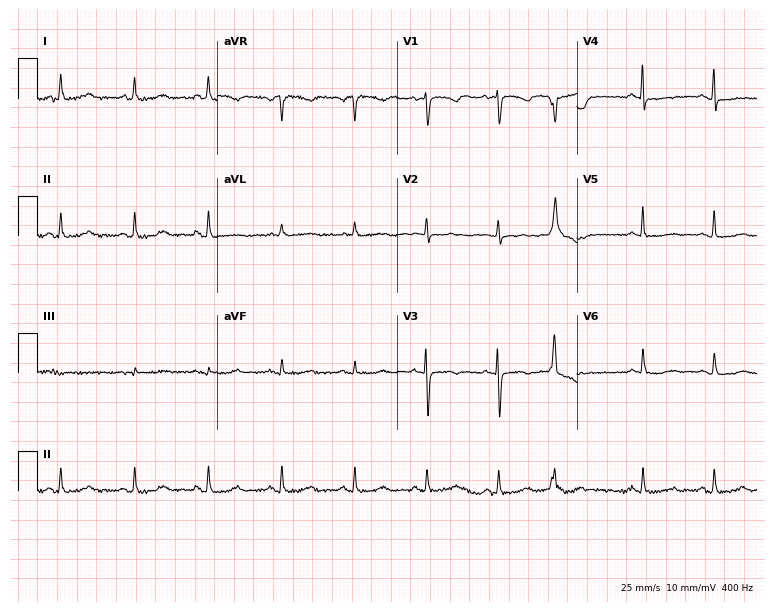
ECG — an 80-year-old female. Screened for six findings — first-degree AV block, right bundle branch block, left bundle branch block, sinus bradycardia, atrial fibrillation, sinus tachycardia — none is recorded. Other findings, if any, are not listed.